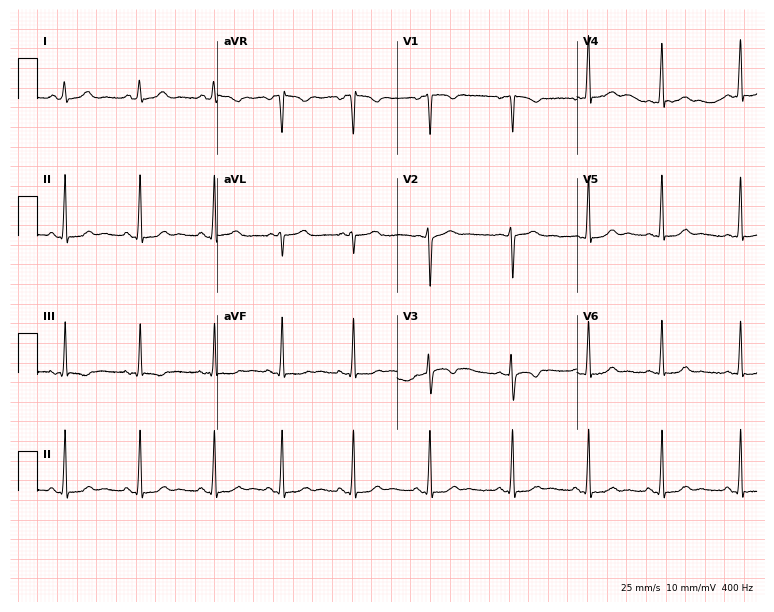
12-lead ECG (7.3-second recording at 400 Hz) from a 17-year-old female patient. Screened for six findings — first-degree AV block, right bundle branch block, left bundle branch block, sinus bradycardia, atrial fibrillation, sinus tachycardia — none is recorded. Only these six findings were labelled.